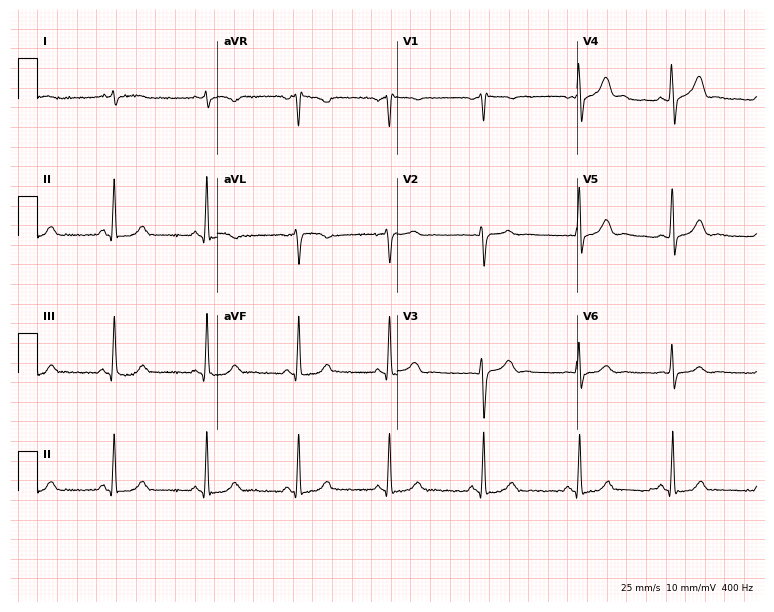
Resting 12-lead electrocardiogram. Patient: a man, 54 years old. None of these six findings is recorded: first-degree AV block, right bundle branch block, left bundle branch block, sinus bradycardia, atrial fibrillation, sinus tachycardia.